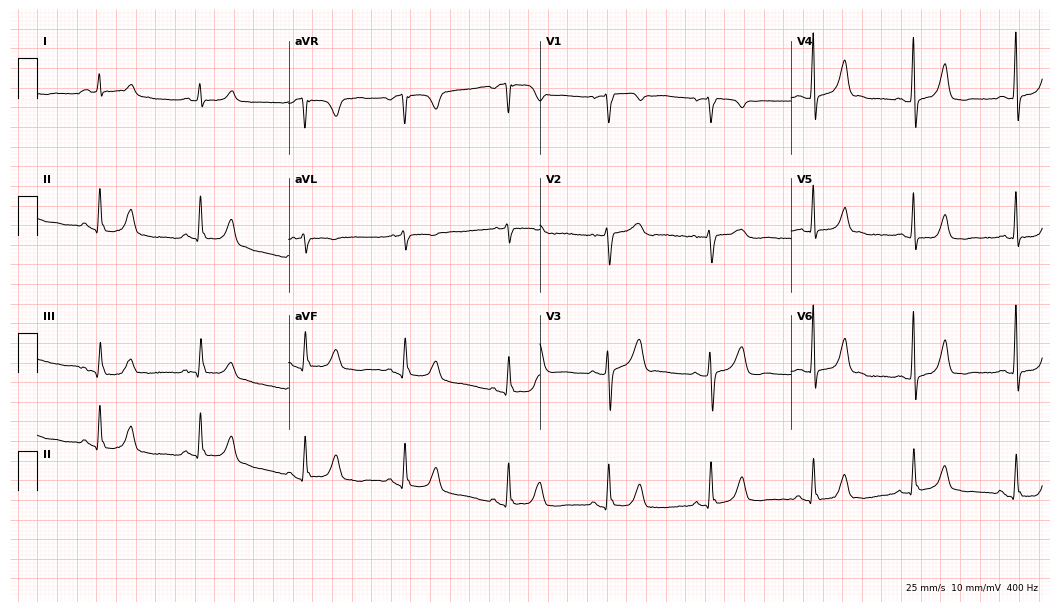
Standard 12-lead ECG recorded from a female, 58 years old. Read as a normal ECG.